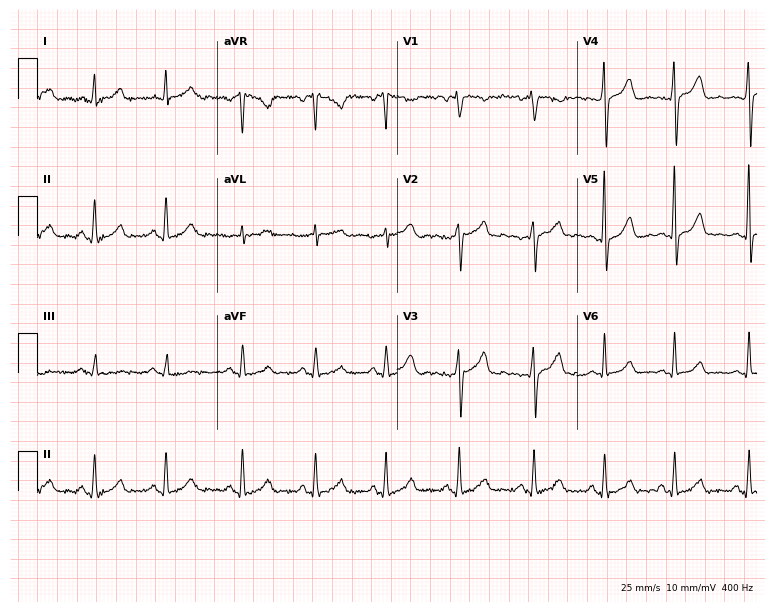
Standard 12-lead ECG recorded from a woman, 41 years old. None of these six findings is recorded: first-degree AV block, right bundle branch block, left bundle branch block, sinus bradycardia, atrial fibrillation, sinus tachycardia.